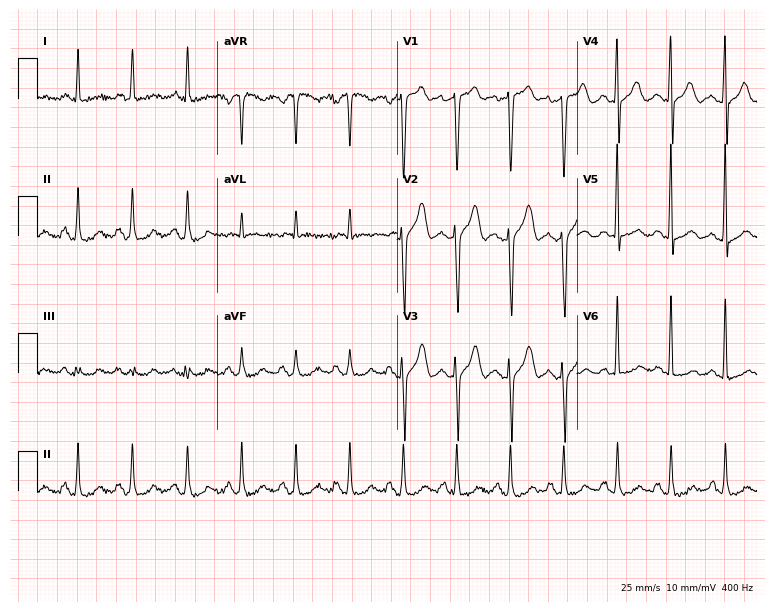
ECG (7.3-second recording at 400 Hz) — a 72-year-old male. Findings include sinus tachycardia (a sinus rate of 100 beats per minute or more).